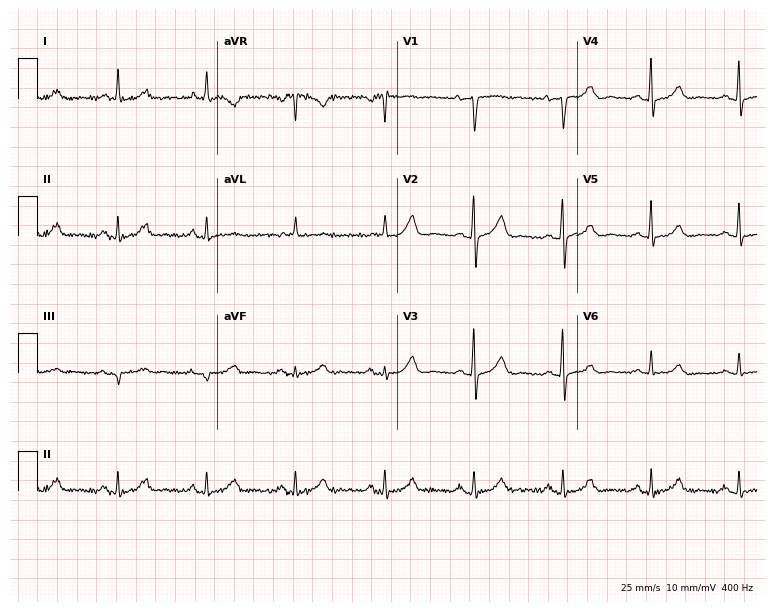
Electrocardiogram (7.3-second recording at 400 Hz), a 70-year-old female patient. Of the six screened findings (first-degree AV block, right bundle branch block, left bundle branch block, sinus bradycardia, atrial fibrillation, sinus tachycardia), none is recorded. Findings outside these six are not listed.